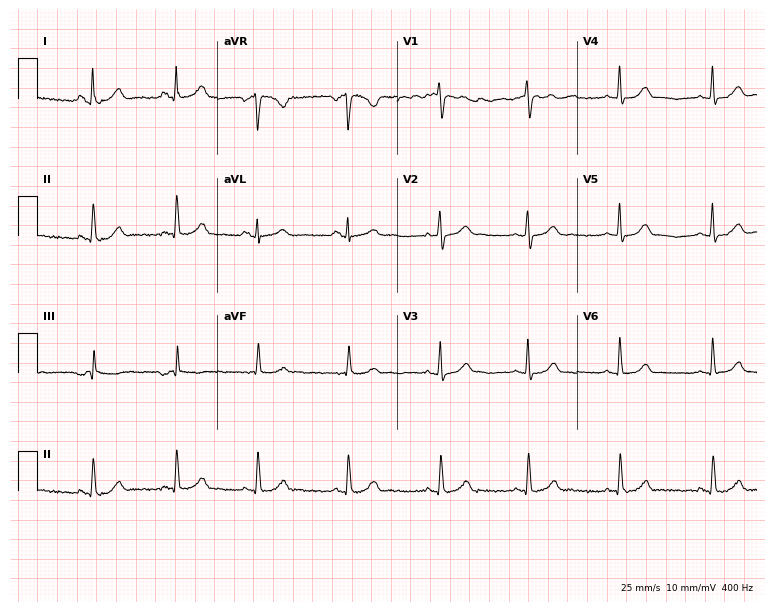
Resting 12-lead electrocardiogram. Patient: a female, 17 years old. Read as a normal ECG.